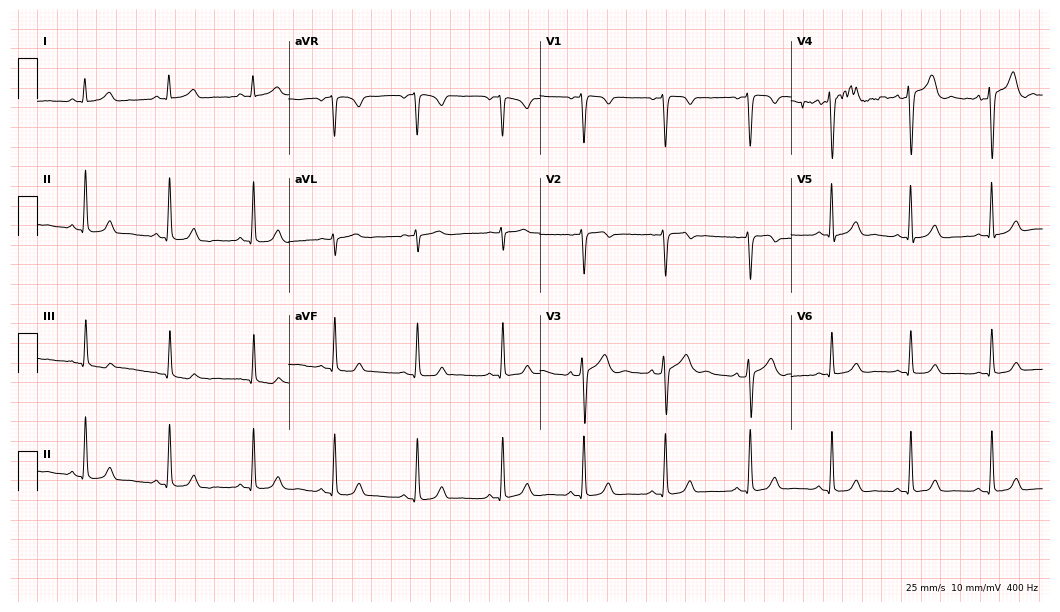
Resting 12-lead electrocardiogram (10.2-second recording at 400 Hz). Patient: a man, 34 years old. Read as a normal ECG.